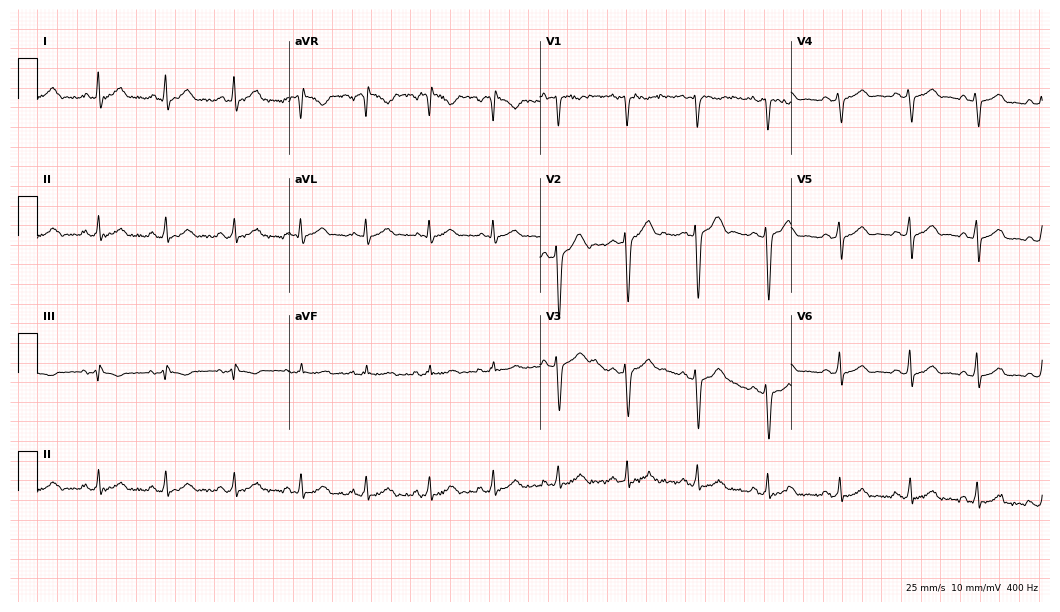
Standard 12-lead ECG recorded from a 38-year-old man (10.2-second recording at 400 Hz). Read as a normal ECG.